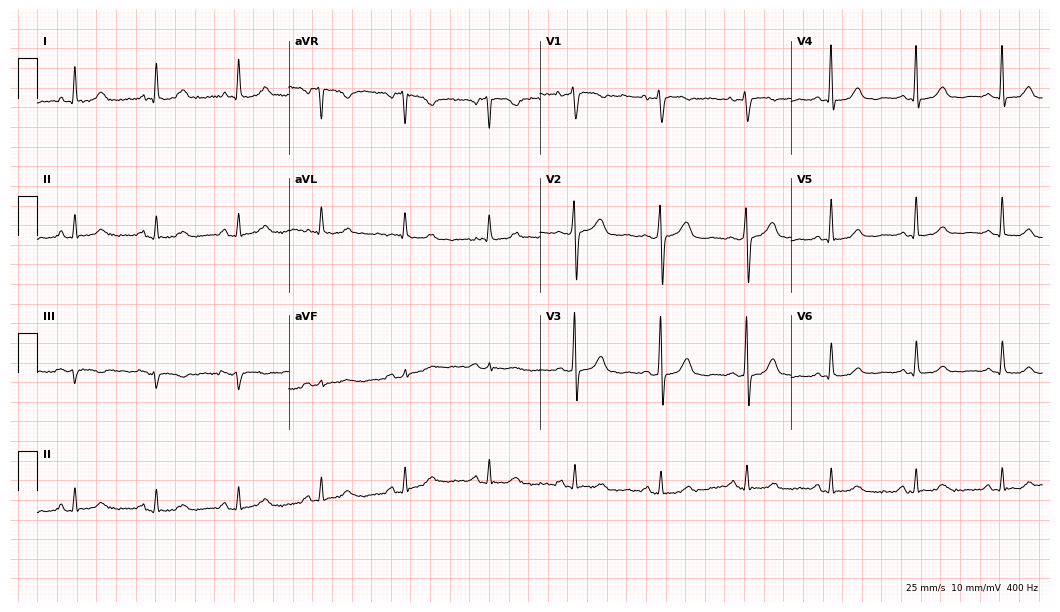
Electrocardiogram (10.2-second recording at 400 Hz), a 75-year-old female. Overall reading on record: normal ECG.